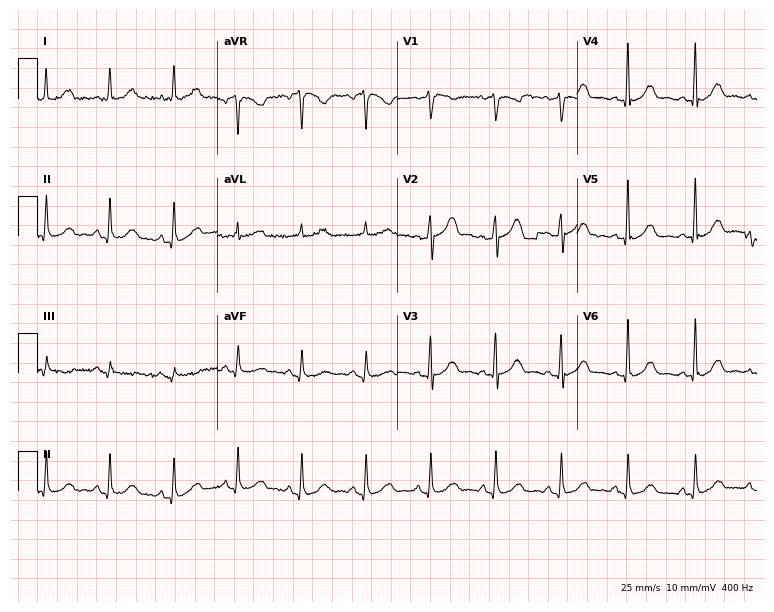
Resting 12-lead electrocardiogram. Patient: a female, 67 years old. None of these six findings is recorded: first-degree AV block, right bundle branch block, left bundle branch block, sinus bradycardia, atrial fibrillation, sinus tachycardia.